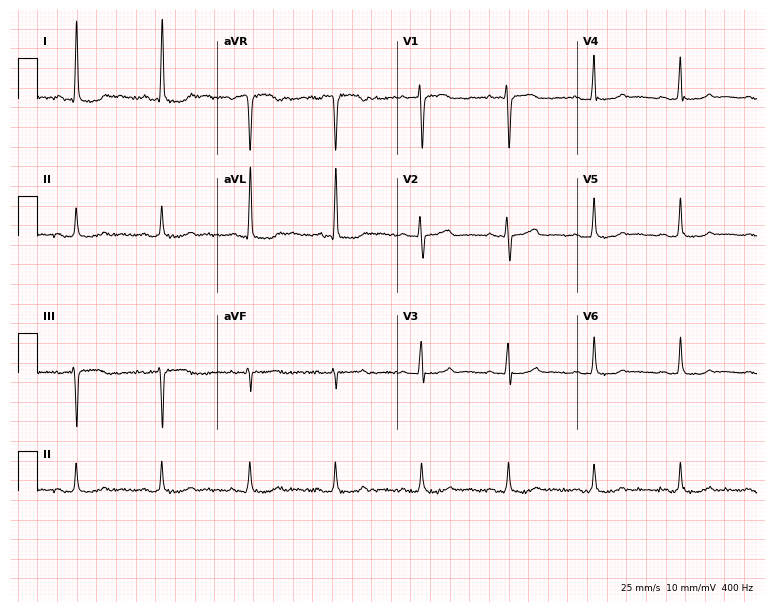
12-lead ECG from a 46-year-old female patient. No first-degree AV block, right bundle branch block (RBBB), left bundle branch block (LBBB), sinus bradycardia, atrial fibrillation (AF) or sinus tachycardia recorded for this tracing. Other findings, if any, are not listed.